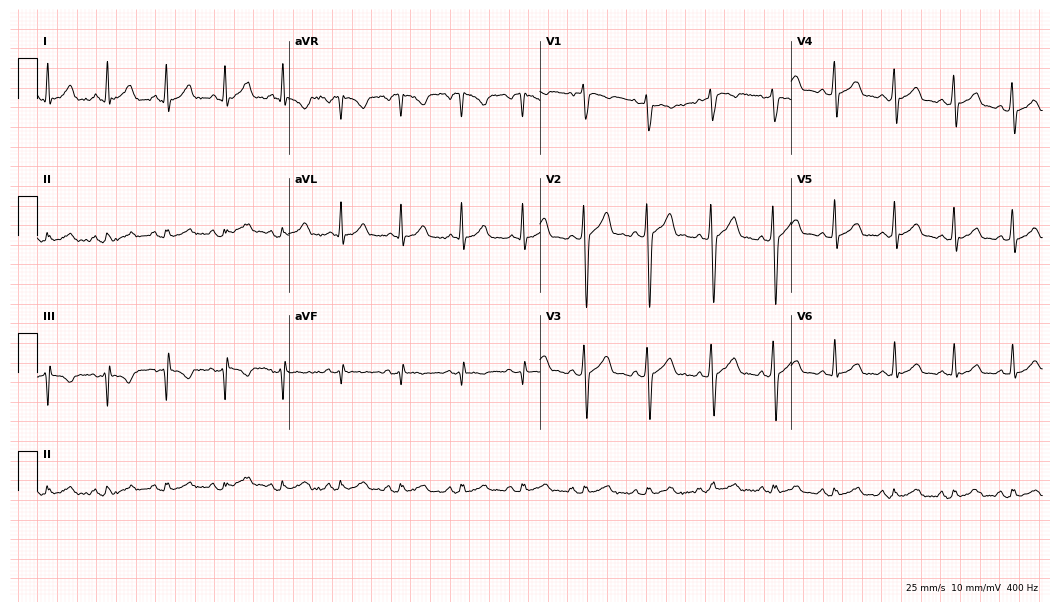
12-lead ECG from a 26-year-old man (10.2-second recording at 400 Hz). Recorded interpretation: within normal limits.